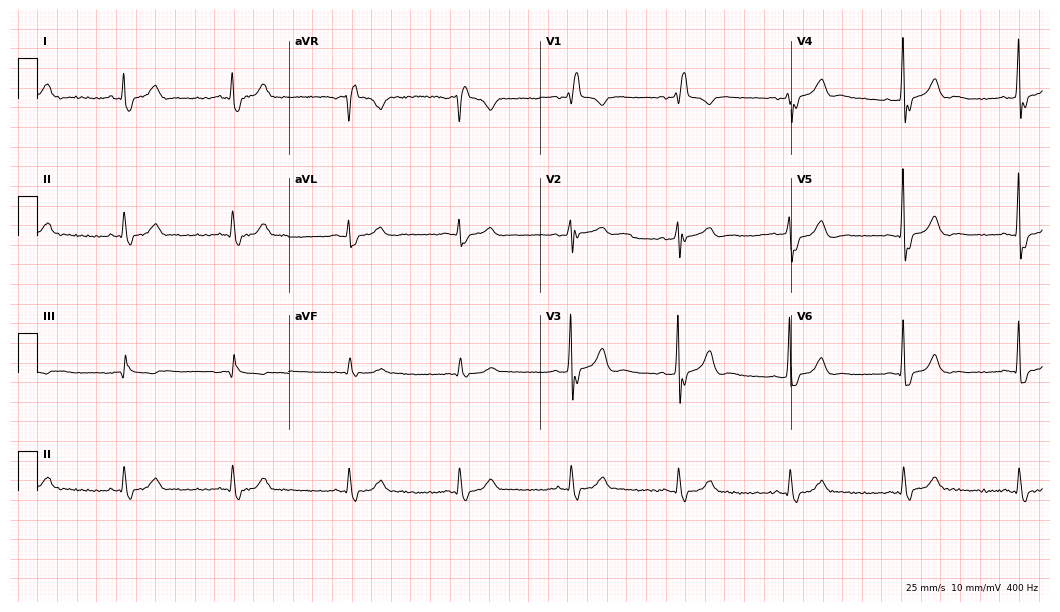
Standard 12-lead ECG recorded from a man, 79 years old. The tracing shows right bundle branch block.